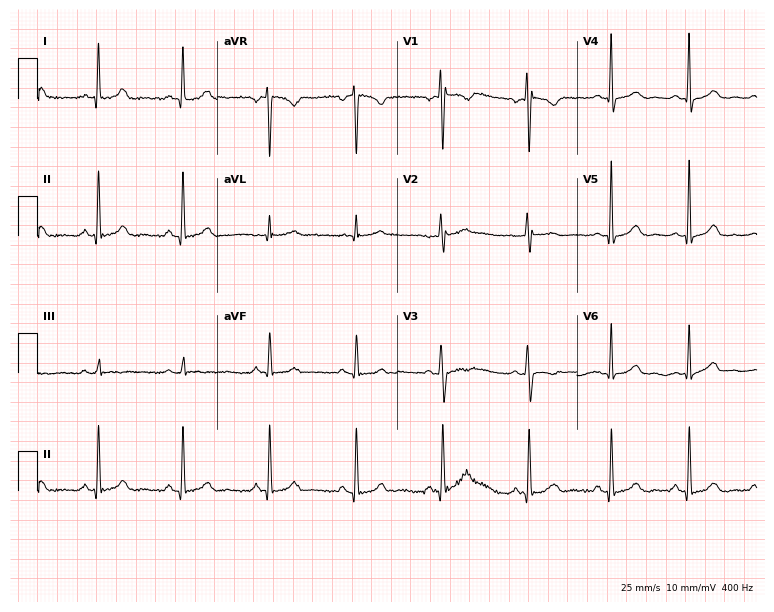
12-lead ECG from a 24-year-old female. Recorded interpretation: within normal limits.